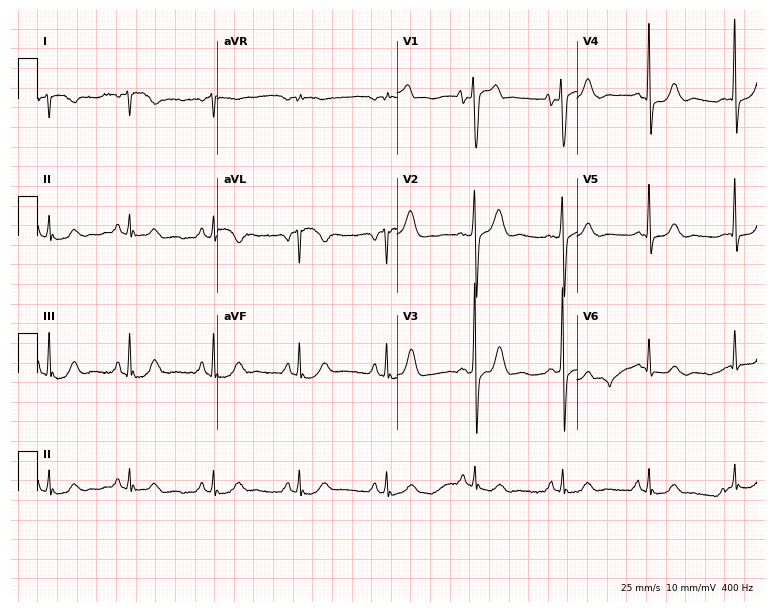
ECG — a man, 66 years old. Screened for six findings — first-degree AV block, right bundle branch block, left bundle branch block, sinus bradycardia, atrial fibrillation, sinus tachycardia — none is recorded.